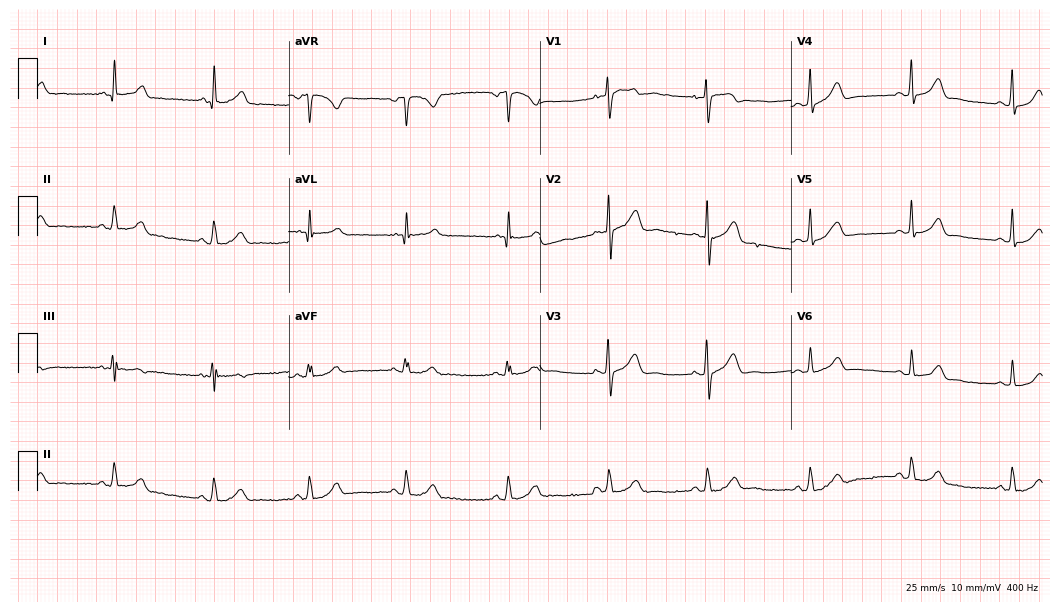
ECG (10.2-second recording at 400 Hz) — a 36-year-old male patient. Labelled as a normal ECG.